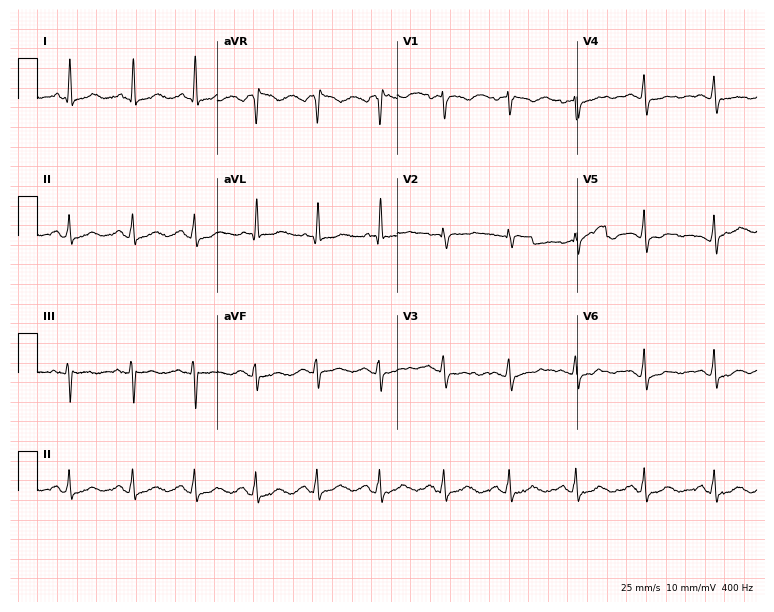
12-lead ECG from a 62-year-old woman (7.3-second recording at 400 Hz). No first-degree AV block, right bundle branch block, left bundle branch block, sinus bradycardia, atrial fibrillation or sinus tachycardia recorded for this tracing. Other findings, if any, are not listed.